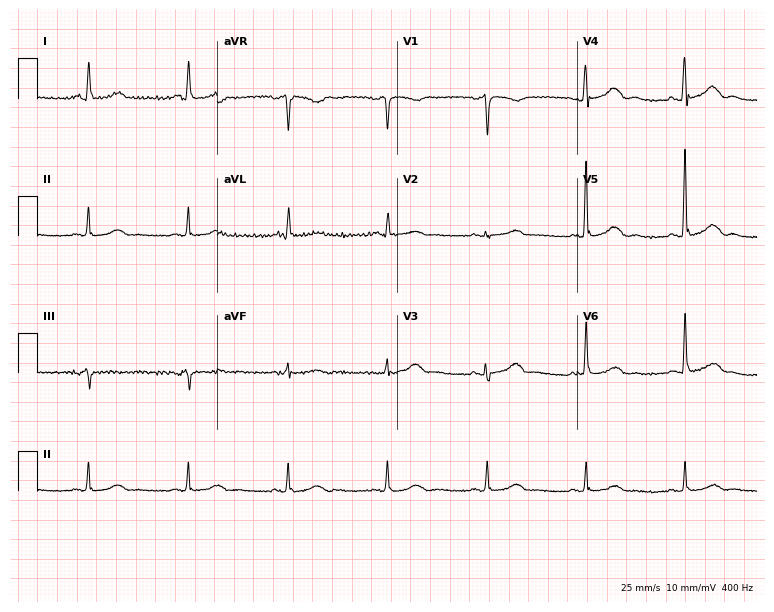
12-lead ECG from a female, 84 years old. Labelled as a normal ECG.